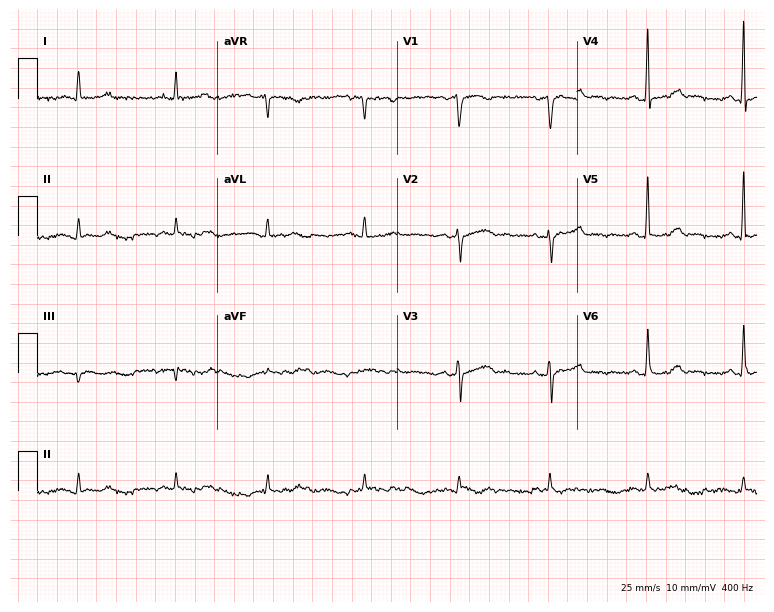
12-lead ECG (7.3-second recording at 400 Hz) from a female patient, 49 years old. Labelled as a normal ECG.